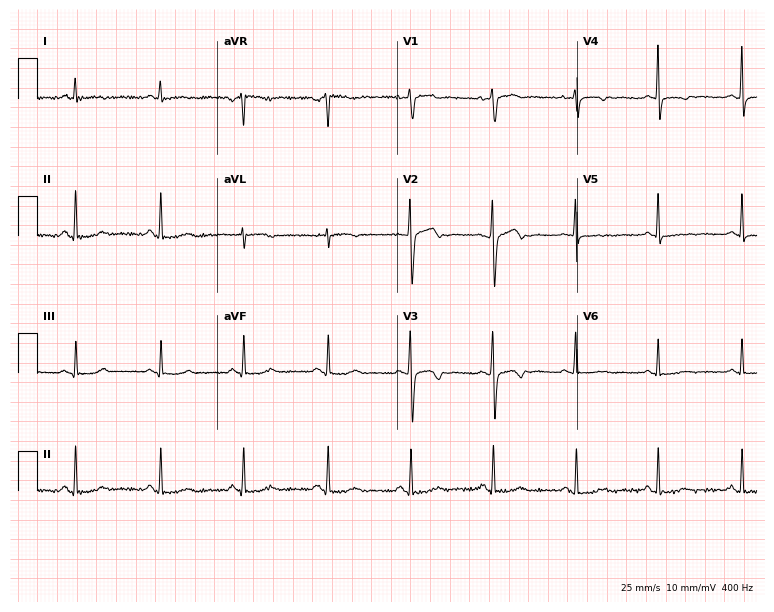
ECG — a female, 40 years old. Screened for six findings — first-degree AV block, right bundle branch block, left bundle branch block, sinus bradycardia, atrial fibrillation, sinus tachycardia — none is recorded.